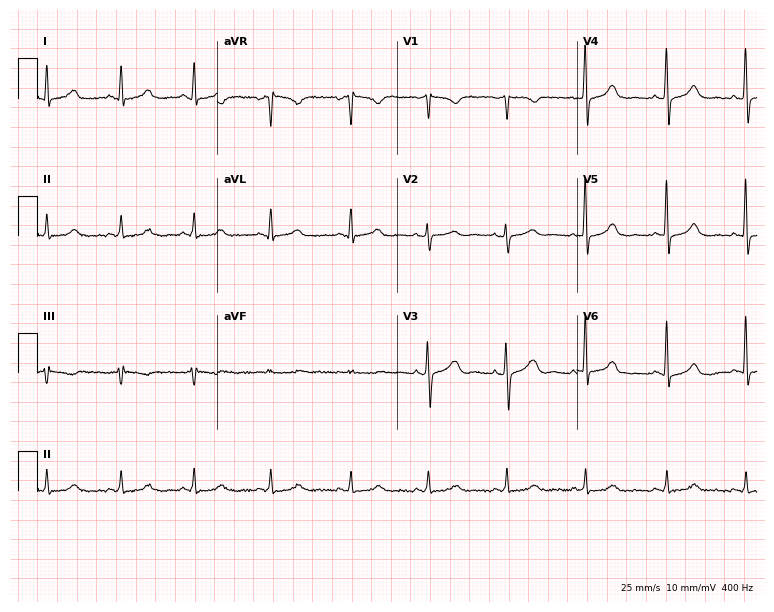
Electrocardiogram, a female, 49 years old. Of the six screened findings (first-degree AV block, right bundle branch block (RBBB), left bundle branch block (LBBB), sinus bradycardia, atrial fibrillation (AF), sinus tachycardia), none is recorded.